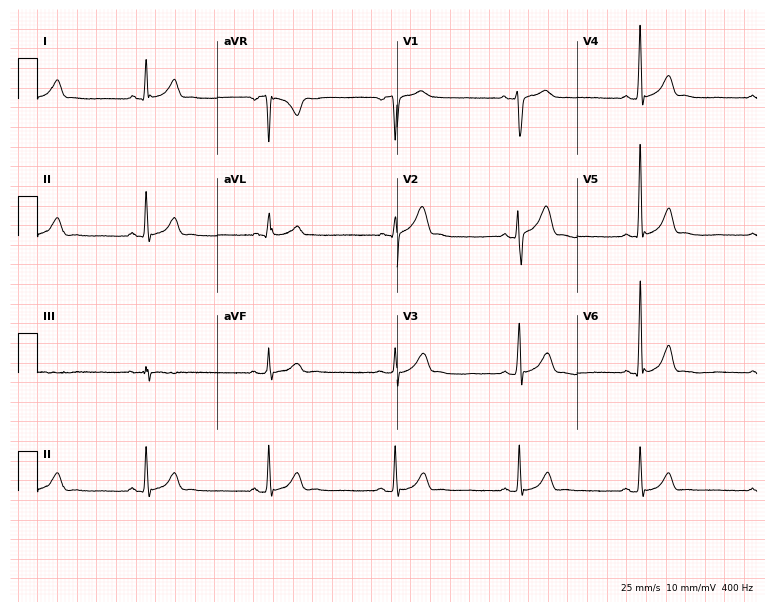
12-lead ECG from a 25-year-old male. Shows sinus bradycardia (a sinus rate of 50 beats per minute or less).